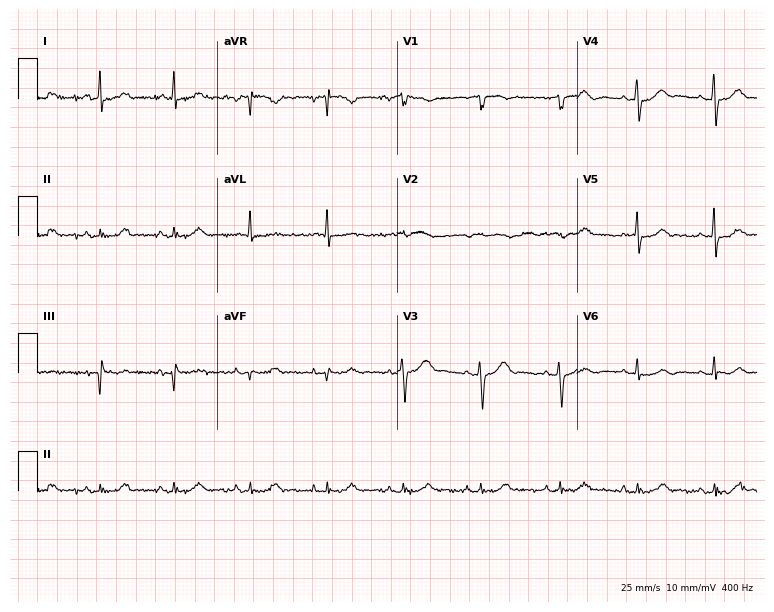
12-lead ECG from a woman, 75 years old (7.3-second recording at 400 Hz). No first-degree AV block, right bundle branch block, left bundle branch block, sinus bradycardia, atrial fibrillation or sinus tachycardia recorded for this tracing. Other findings, if any, are not listed.